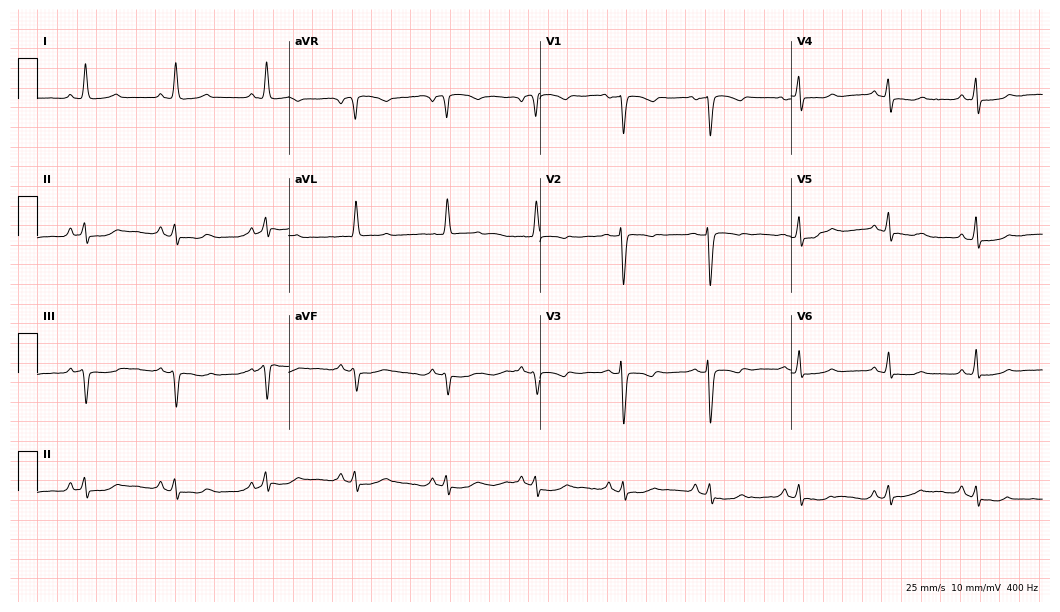
Resting 12-lead electrocardiogram (10.2-second recording at 400 Hz). Patient: a 71-year-old female. None of these six findings is recorded: first-degree AV block, right bundle branch block, left bundle branch block, sinus bradycardia, atrial fibrillation, sinus tachycardia. Findings outside these six are not listed.